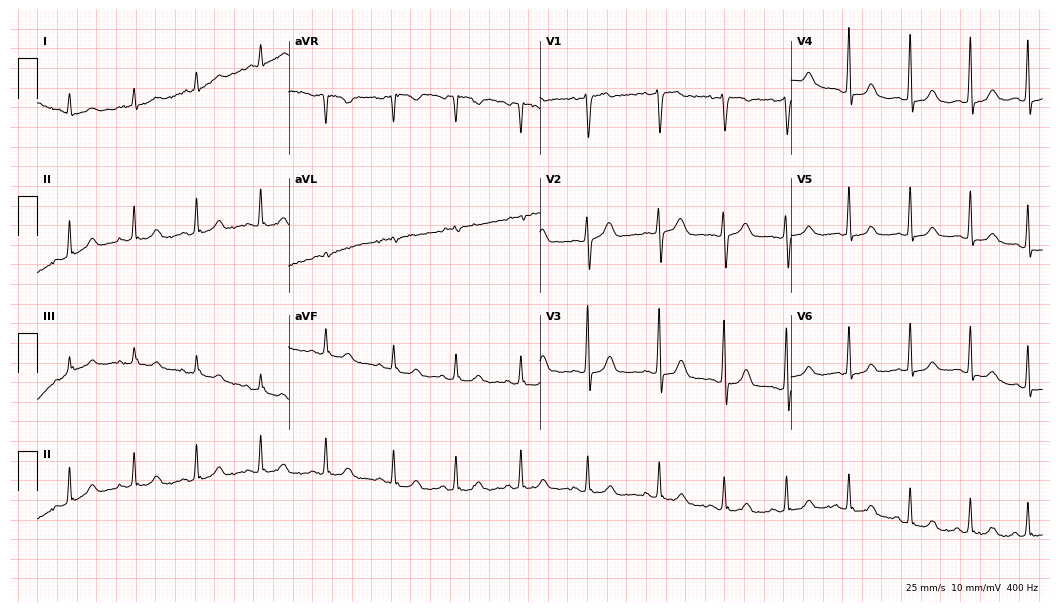
12-lead ECG from a female patient, 46 years old. Screened for six findings — first-degree AV block, right bundle branch block, left bundle branch block, sinus bradycardia, atrial fibrillation, sinus tachycardia — none is recorded. Other findings, if any, are not listed.